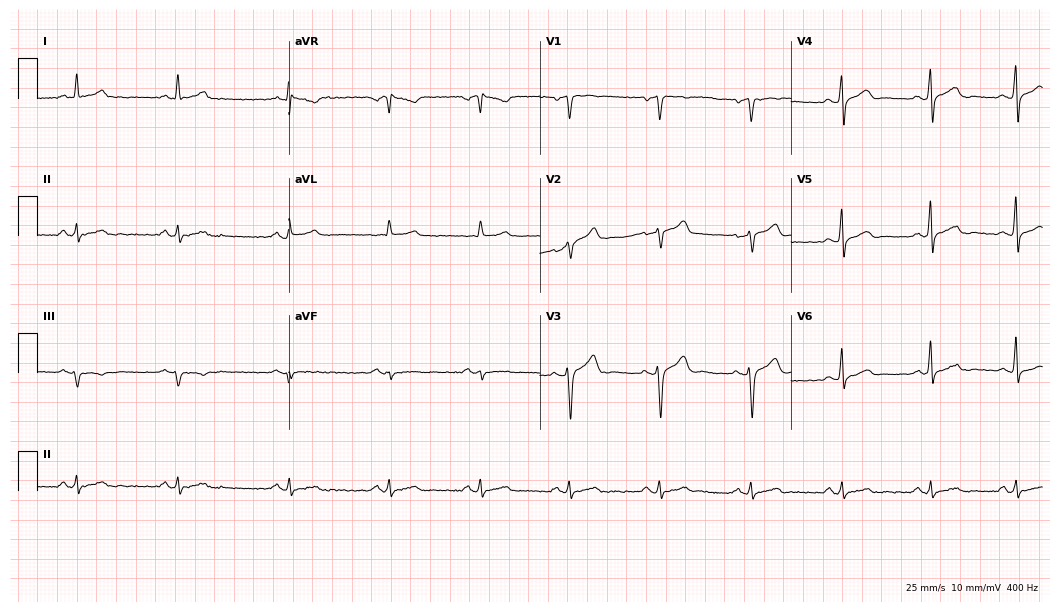
12-lead ECG (10.2-second recording at 400 Hz) from a 44-year-old male. Labelled as a normal ECG.